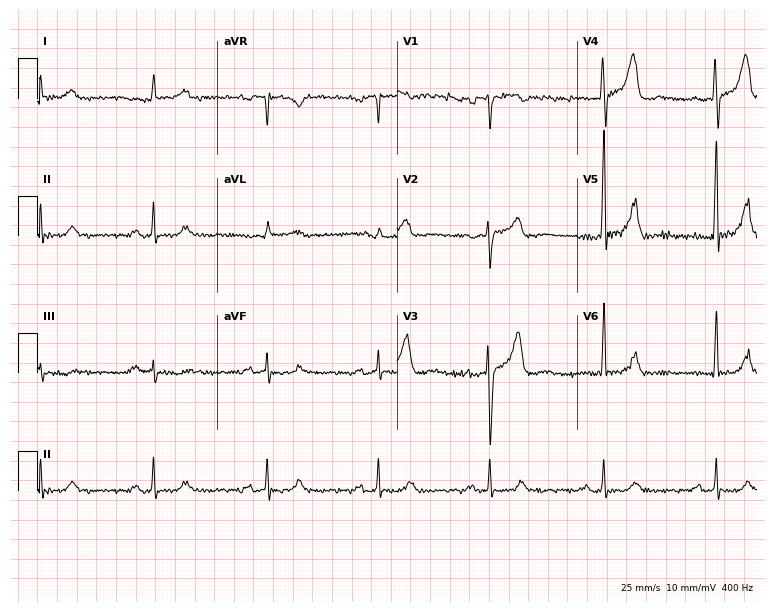
Electrocardiogram, a male patient, 55 years old. Of the six screened findings (first-degree AV block, right bundle branch block (RBBB), left bundle branch block (LBBB), sinus bradycardia, atrial fibrillation (AF), sinus tachycardia), none is recorded.